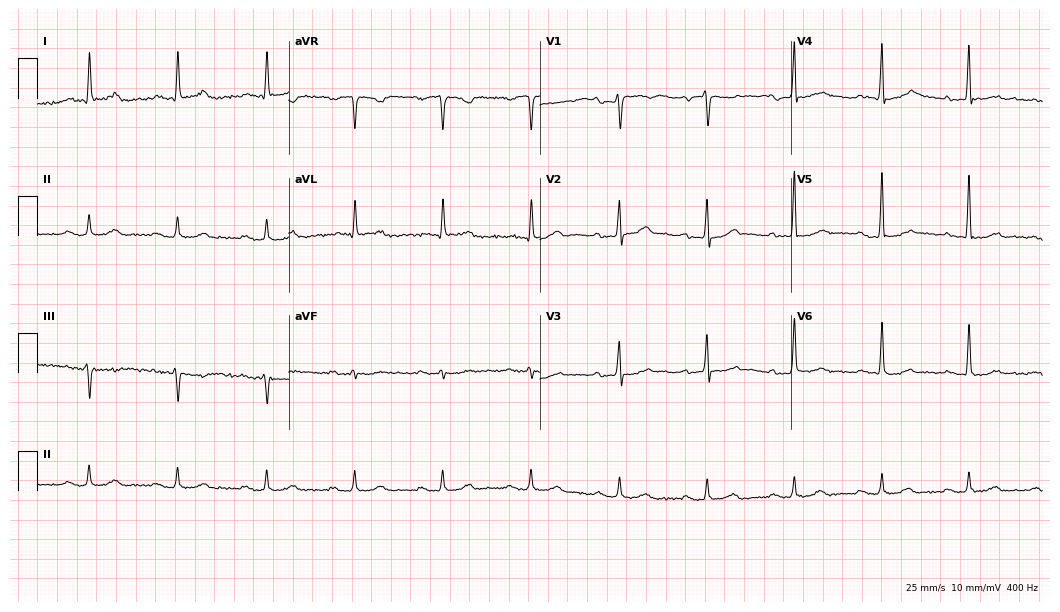
Standard 12-lead ECG recorded from a male, 60 years old. The tracing shows first-degree AV block.